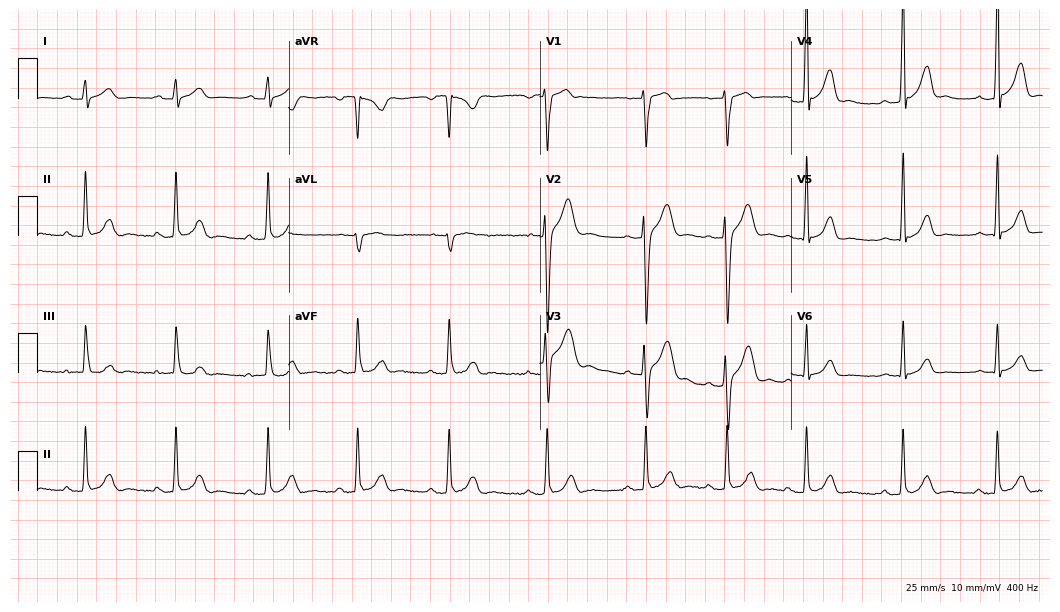
Electrocardiogram, a 21-year-old male. Overall reading on record: normal ECG.